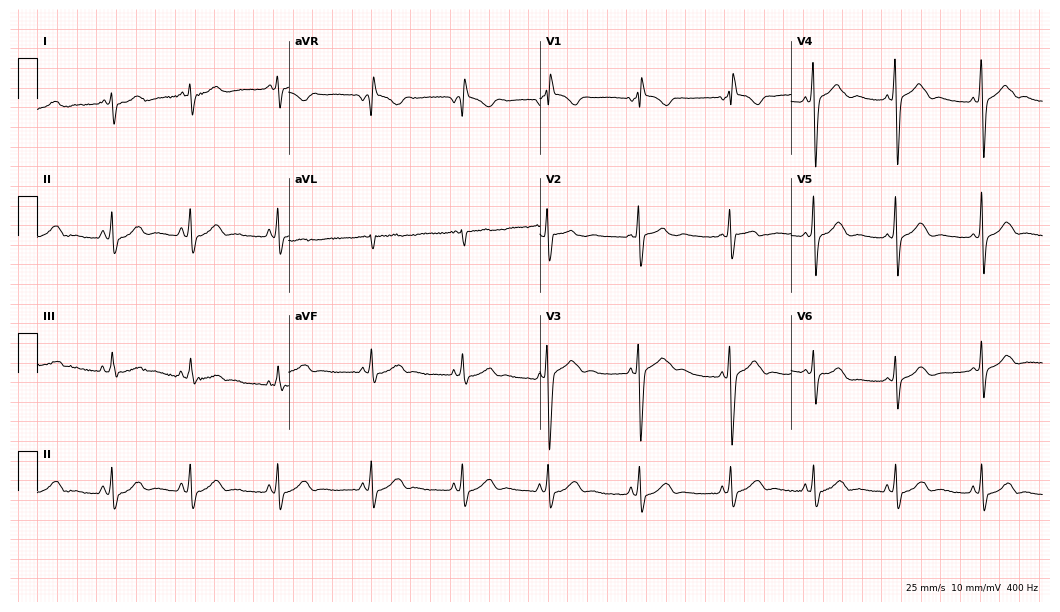
Standard 12-lead ECG recorded from a 17-year-old woman. None of these six findings is recorded: first-degree AV block, right bundle branch block (RBBB), left bundle branch block (LBBB), sinus bradycardia, atrial fibrillation (AF), sinus tachycardia. Findings outside these six are not listed.